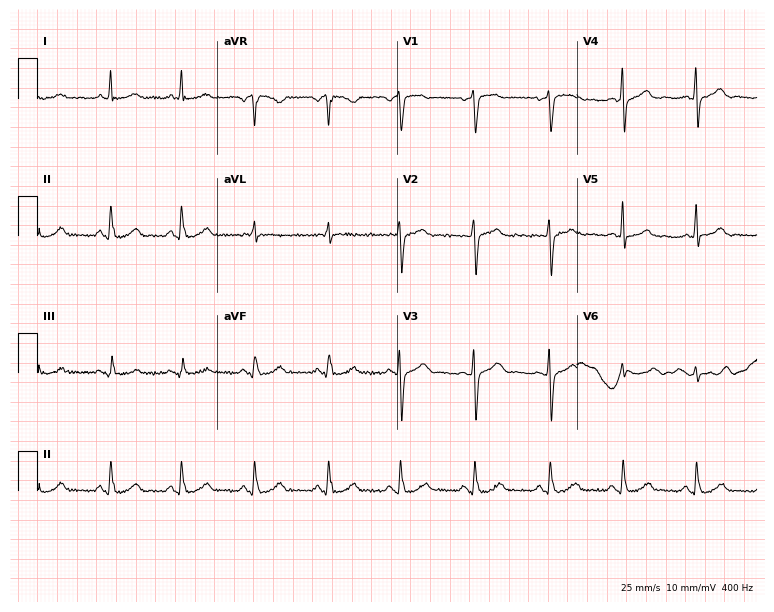
12-lead ECG from a woman, 48 years old. Recorded interpretation: within normal limits.